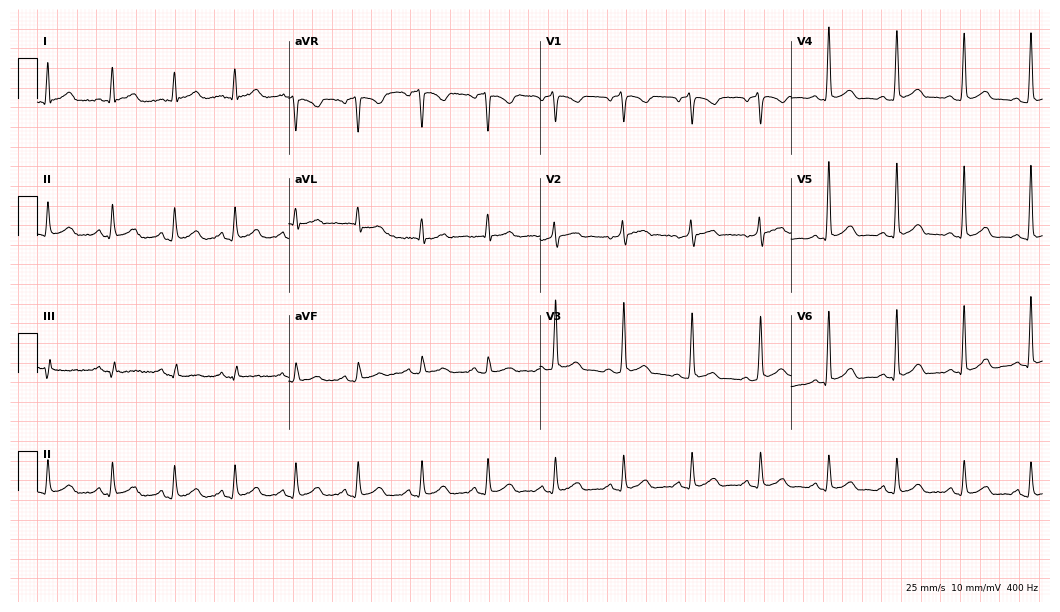
Electrocardiogram (10.2-second recording at 400 Hz), a male, 49 years old. Of the six screened findings (first-degree AV block, right bundle branch block (RBBB), left bundle branch block (LBBB), sinus bradycardia, atrial fibrillation (AF), sinus tachycardia), none is recorded. Other findings, if any, are not listed.